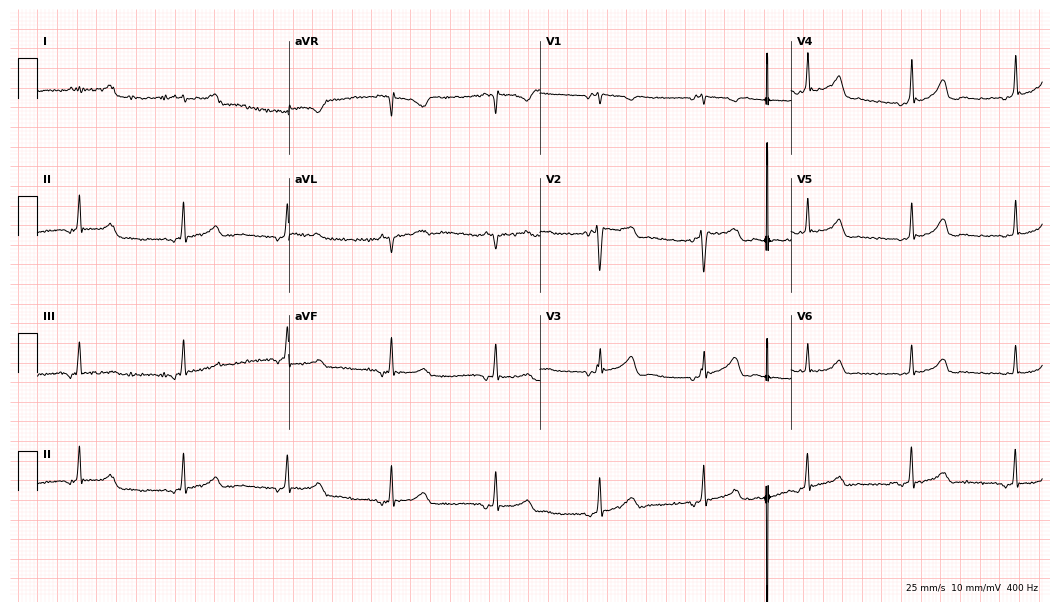
12-lead ECG from a 42-year-old female. No first-degree AV block, right bundle branch block, left bundle branch block, sinus bradycardia, atrial fibrillation or sinus tachycardia recorded for this tracing.